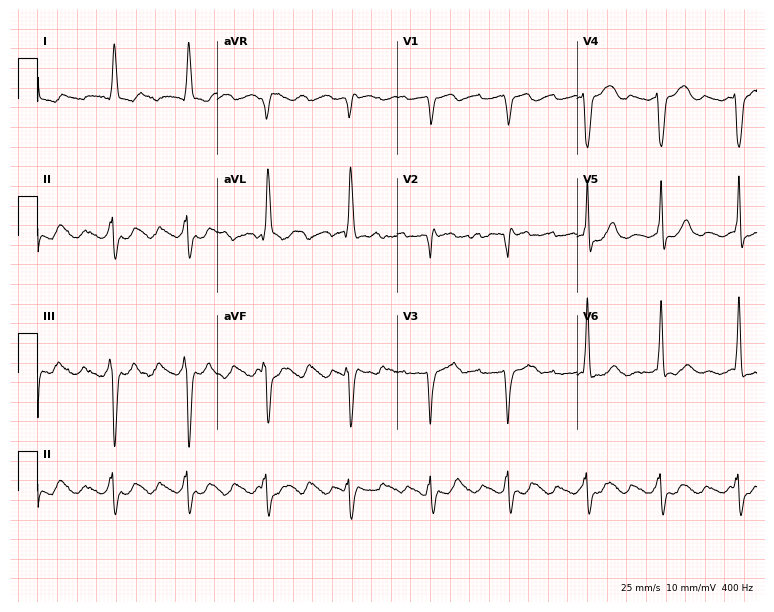
12-lead ECG from an 85-year-old female. No first-degree AV block, right bundle branch block (RBBB), left bundle branch block (LBBB), sinus bradycardia, atrial fibrillation (AF) or sinus tachycardia recorded for this tracing.